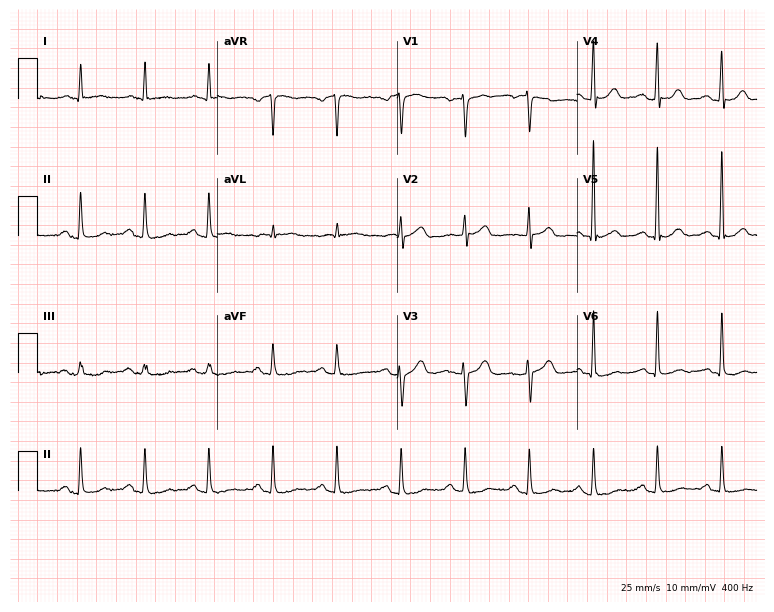
Electrocardiogram (7.3-second recording at 400 Hz), a female patient, 57 years old. Overall reading on record: normal ECG.